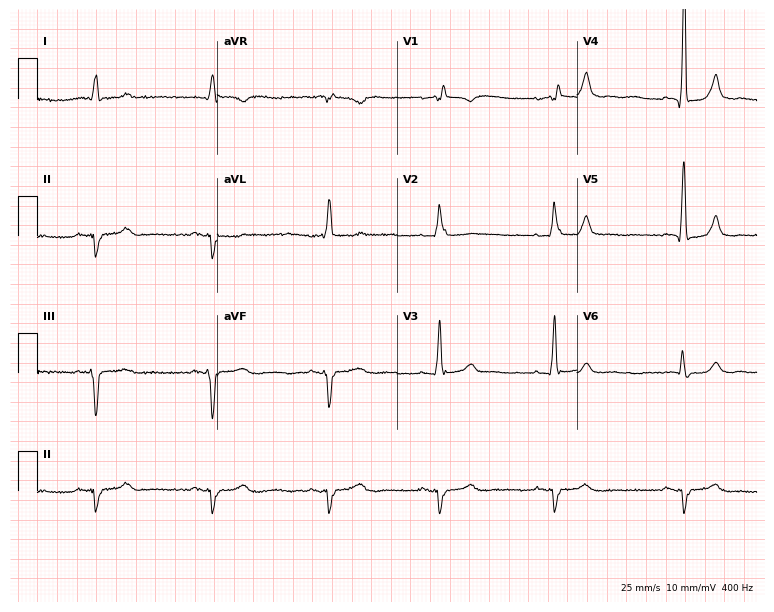
ECG (7.3-second recording at 400 Hz) — a male patient, 83 years old. Findings include right bundle branch block (RBBB), sinus bradycardia (a sinus rate of 50 beats per minute or less).